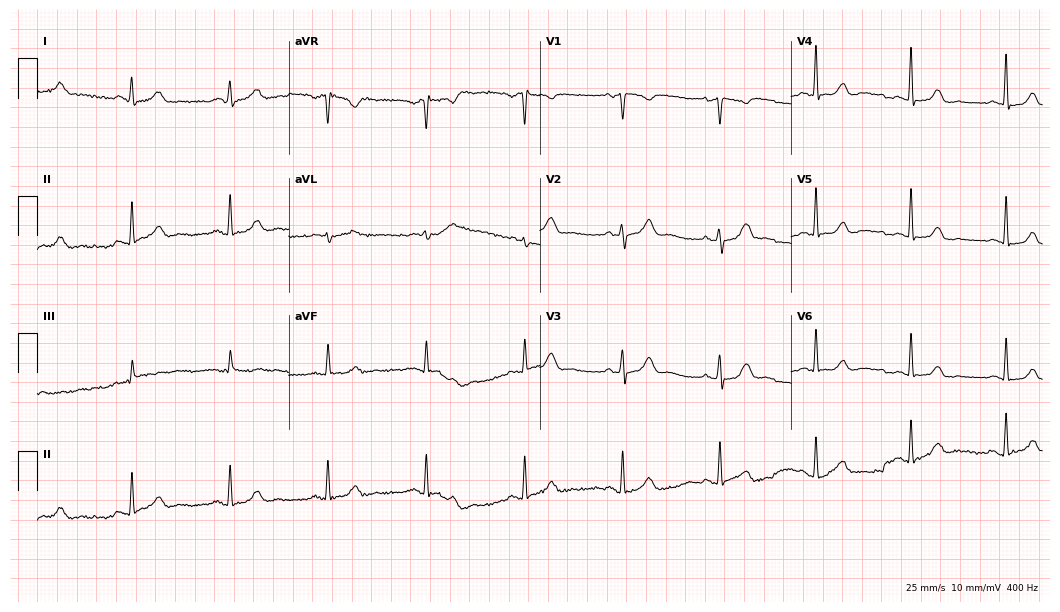
12-lead ECG (10.2-second recording at 400 Hz) from a 51-year-old female patient. Labelled as a normal ECG.